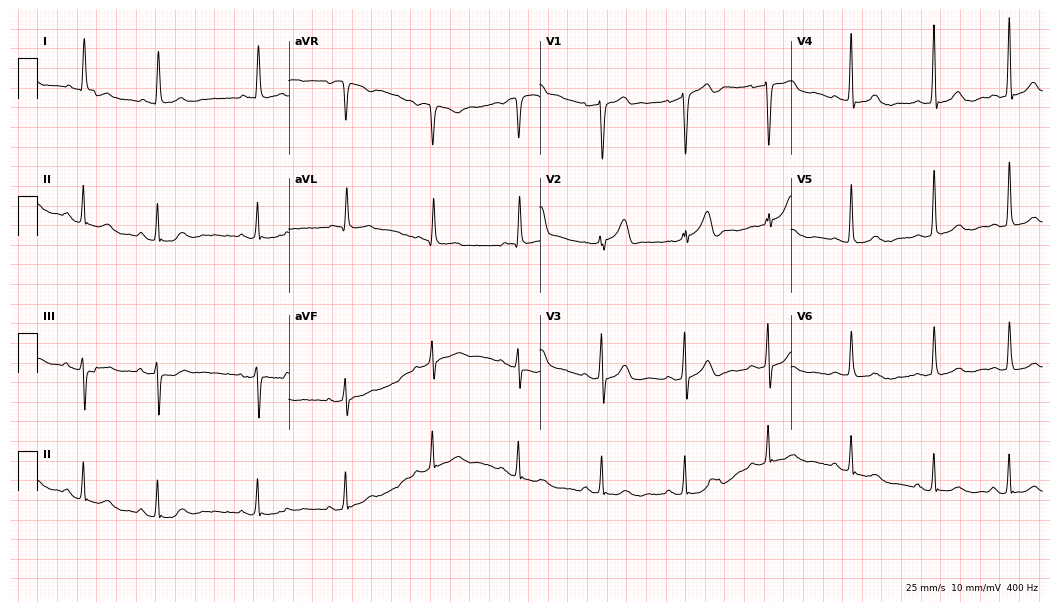
12-lead ECG from a male, 73 years old (10.2-second recording at 400 Hz). Recorded interpretation: within normal limits.